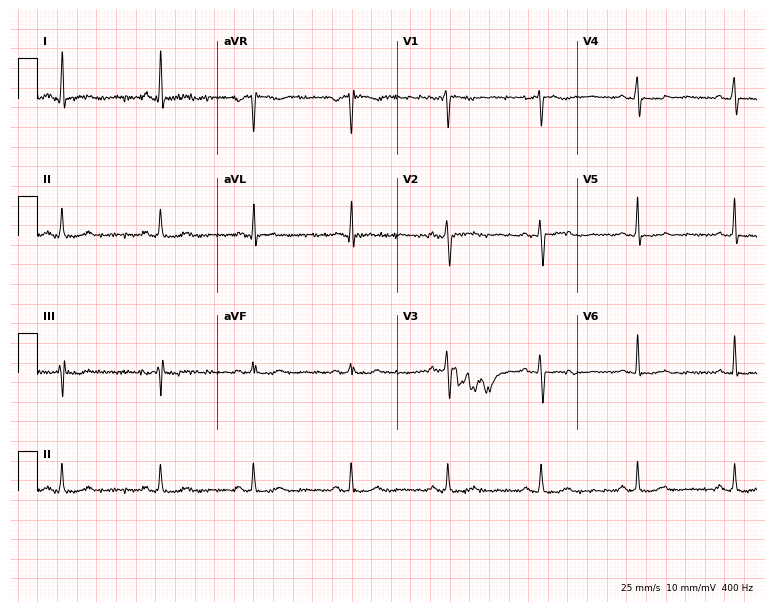
ECG — a woman, 55 years old. Screened for six findings — first-degree AV block, right bundle branch block, left bundle branch block, sinus bradycardia, atrial fibrillation, sinus tachycardia — none is recorded. Only these six findings were labelled.